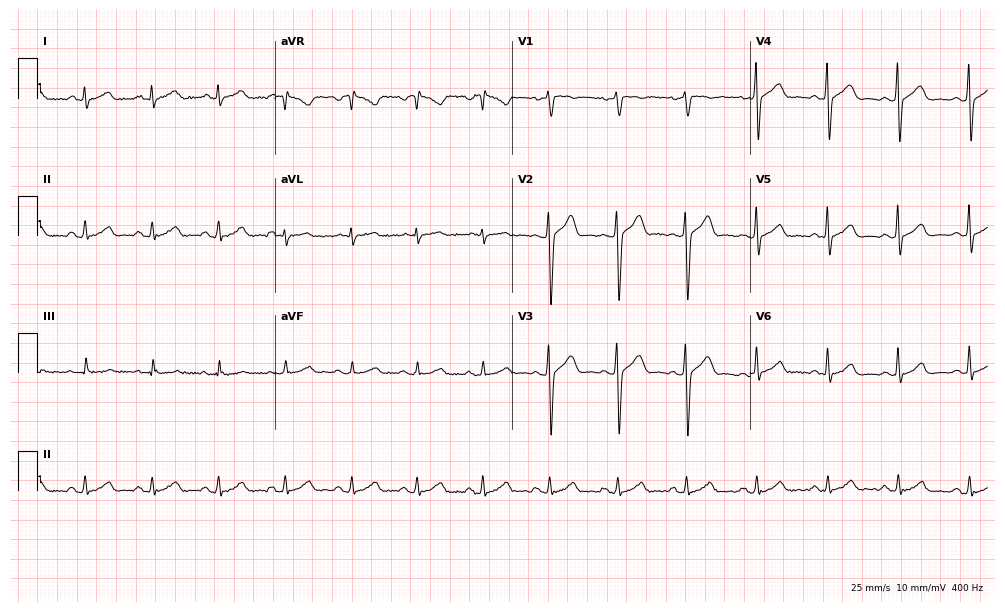
Resting 12-lead electrocardiogram. Patient: a 37-year-old male. Read as a normal ECG.